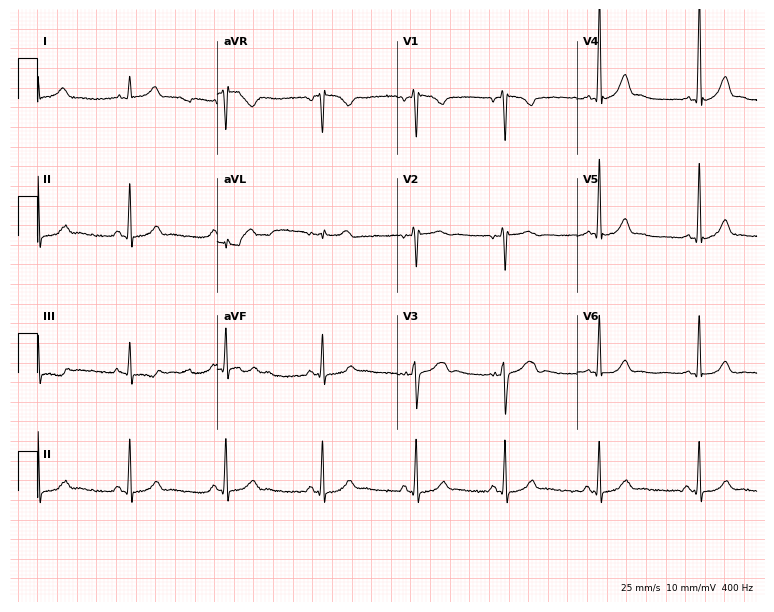
ECG (7.3-second recording at 400 Hz) — a 37-year-old woman. Screened for six findings — first-degree AV block, right bundle branch block (RBBB), left bundle branch block (LBBB), sinus bradycardia, atrial fibrillation (AF), sinus tachycardia — none is recorded. Other findings, if any, are not listed.